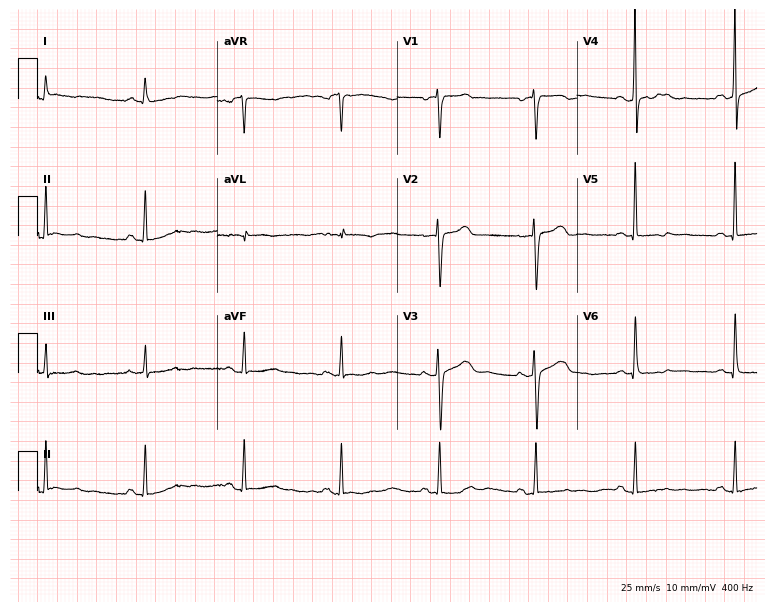
Standard 12-lead ECG recorded from a female patient, 65 years old (7.3-second recording at 400 Hz). None of these six findings is recorded: first-degree AV block, right bundle branch block, left bundle branch block, sinus bradycardia, atrial fibrillation, sinus tachycardia.